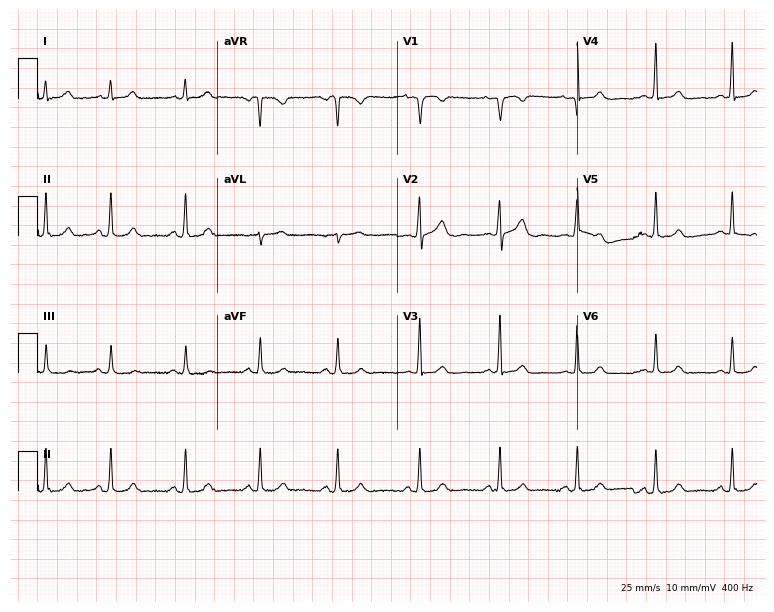
Standard 12-lead ECG recorded from a 37-year-old female. Read as a normal ECG.